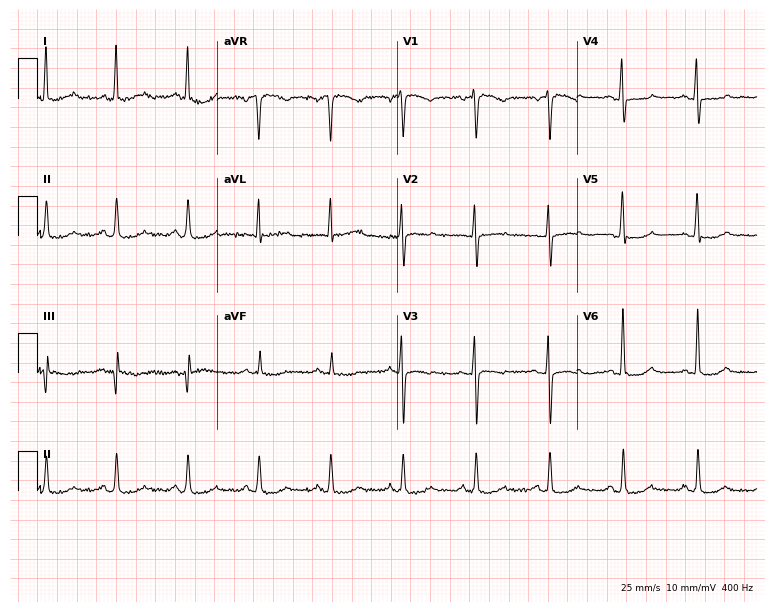
ECG (7.3-second recording at 400 Hz) — a 63-year-old female. Labelled as a normal ECG.